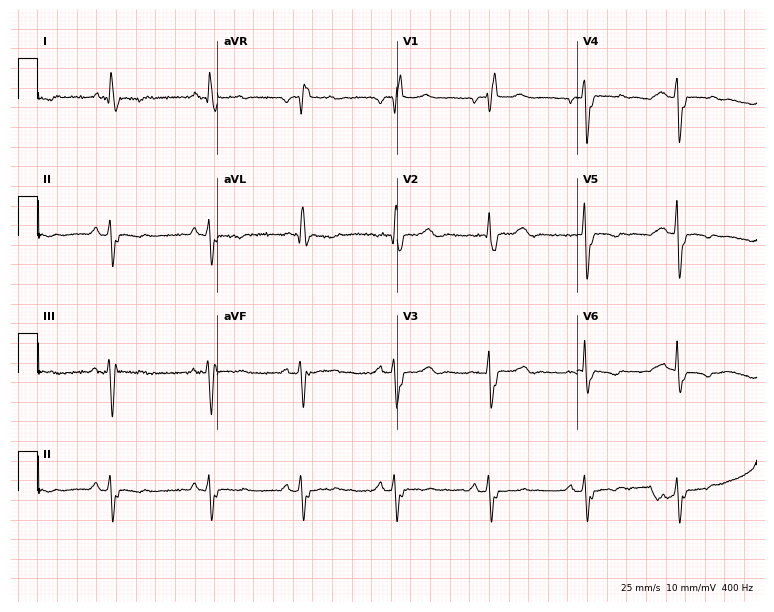
Standard 12-lead ECG recorded from a 71-year-old female patient (7.3-second recording at 400 Hz). The tracing shows right bundle branch block.